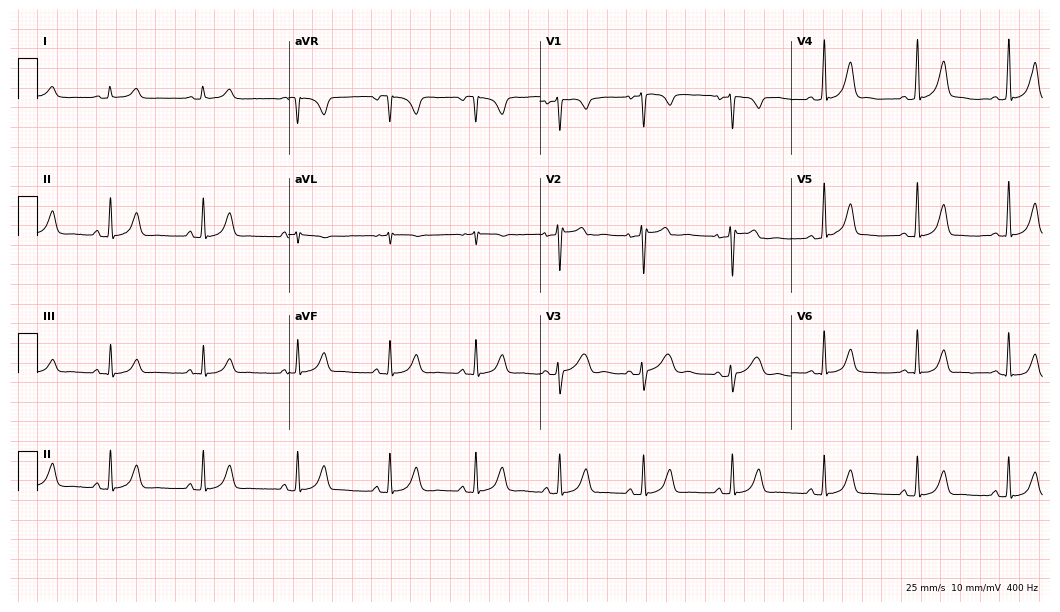
12-lead ECG from a female patient, 31 years old. Recorded interpretation: within normal limits.